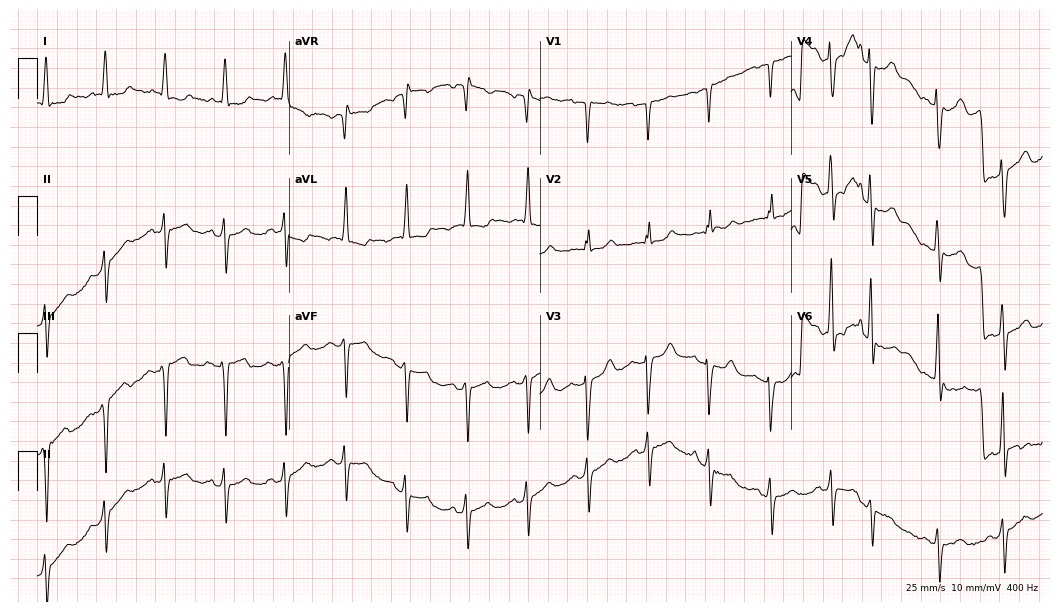
Standard 12-lead ECG recorded from an 83-year-old woman. None of these six findings is recorded: first-degree AV block, right bundle branch block, left bundle branch block, sinus bradycardia, atrial fibrillation, sinus tachycardia. Findings outside these six are not listed.